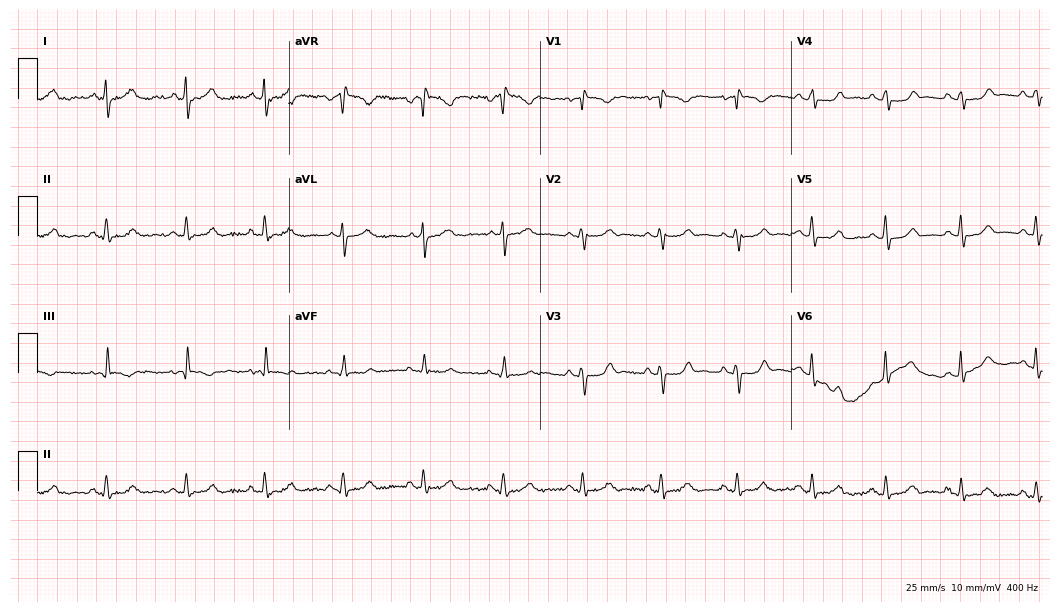
Resting 12-lead electrocardiogram. Patient: a woman, 56 years old. Read as a normal ECG.